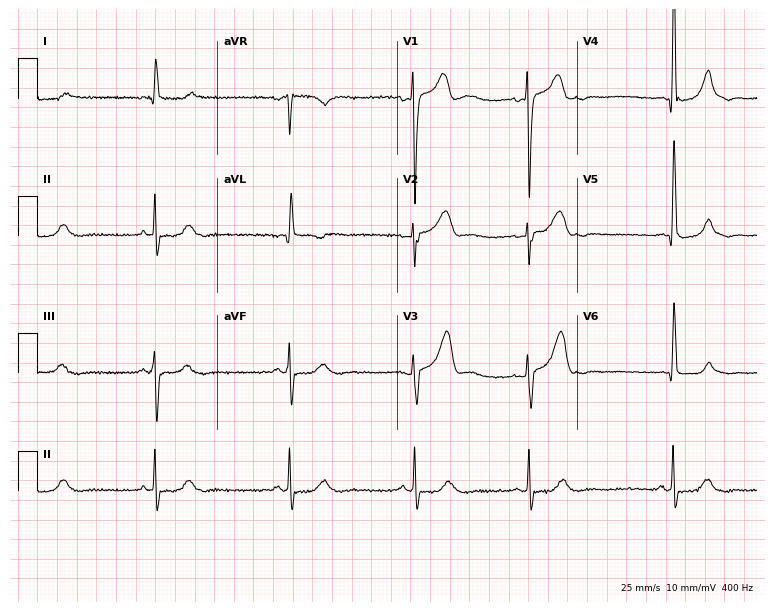
12-lead ECG from a man, 78 years old. Shows sinus bradycardia (a sinus rate of 50 beats per minute or less).